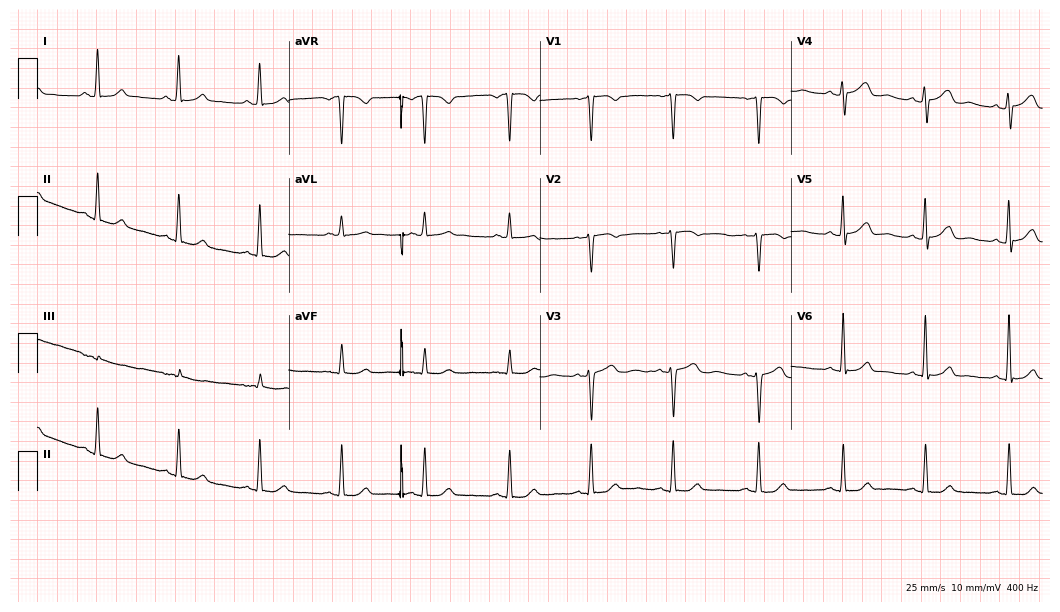
Standard 12-lead ECG recorded from a female patient, 50 years old (10.2-second recording at 400 Hz). None of these six findings is recorded: first-degree AV block, right bundle branch block (RBBB), left bundle branch block (LBBB), sinus bradycardia, atrial fibrillation (AF), sinus tachycardia. Findings outside these six are not listed.